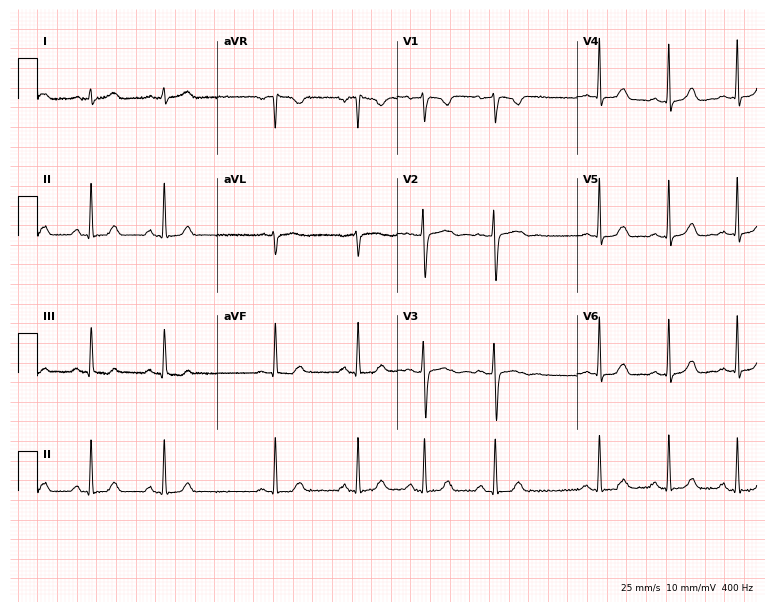
12-lead ECG from a 20-year-old female. Labelled as a normal ECG.